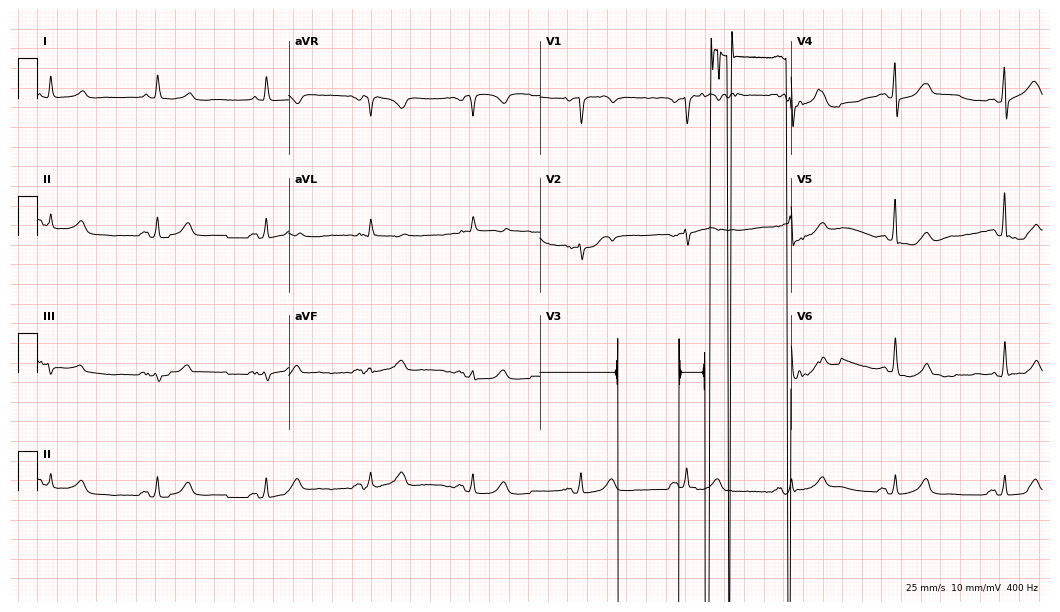
ECG — a 73-year-old man. Screened for six findings — first-degree AV block, right bundle branch block (RBBB), left bundle branch block (LBBB), sinus bradycardia, atrial fibrillation (AF), sinus tachycardia — none is recorded.